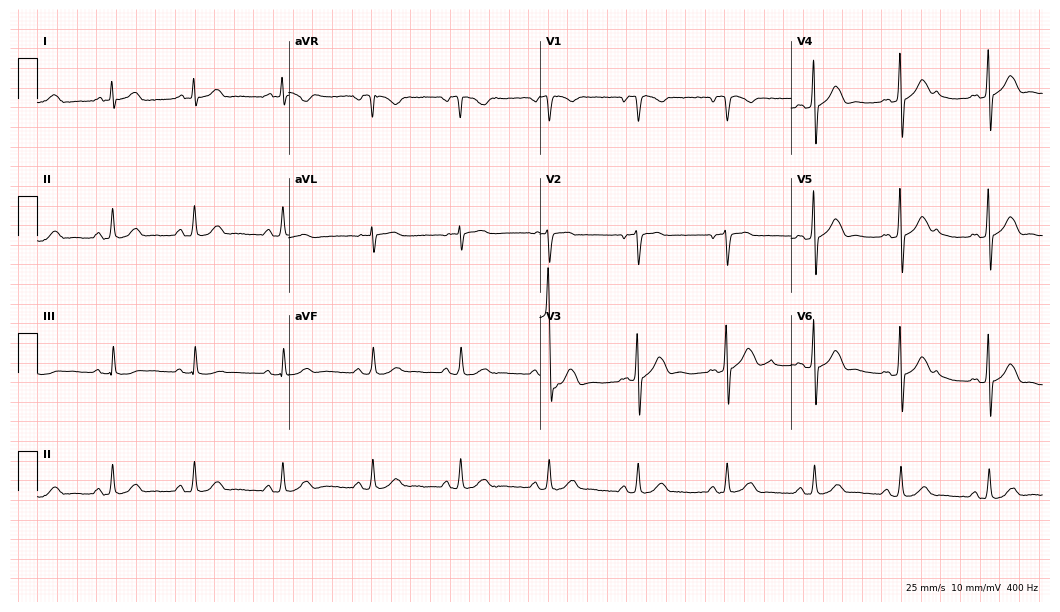
Standard 12-lead ECG recorded from a 44-year-old male patient (10.2-second recording at 400 Hz). None of these six findings is recorded: first-degree AV block, right bundle branch block, left bundle branch block, sinus bradycardia, atrial fibrillation, sinus tachycardia. Findings outside these six are not listed.